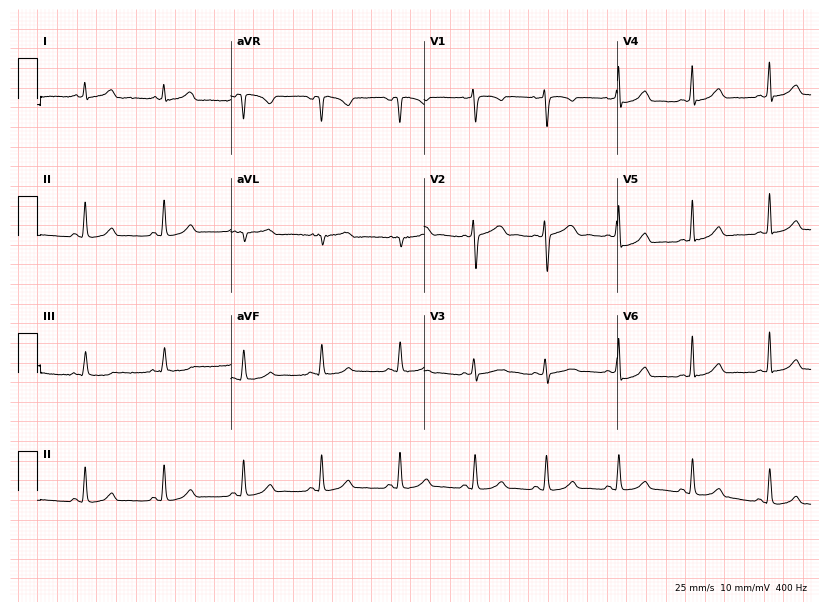
Electrocardiogram, a female, 29 years old. Overall reading on record: normal ECG.